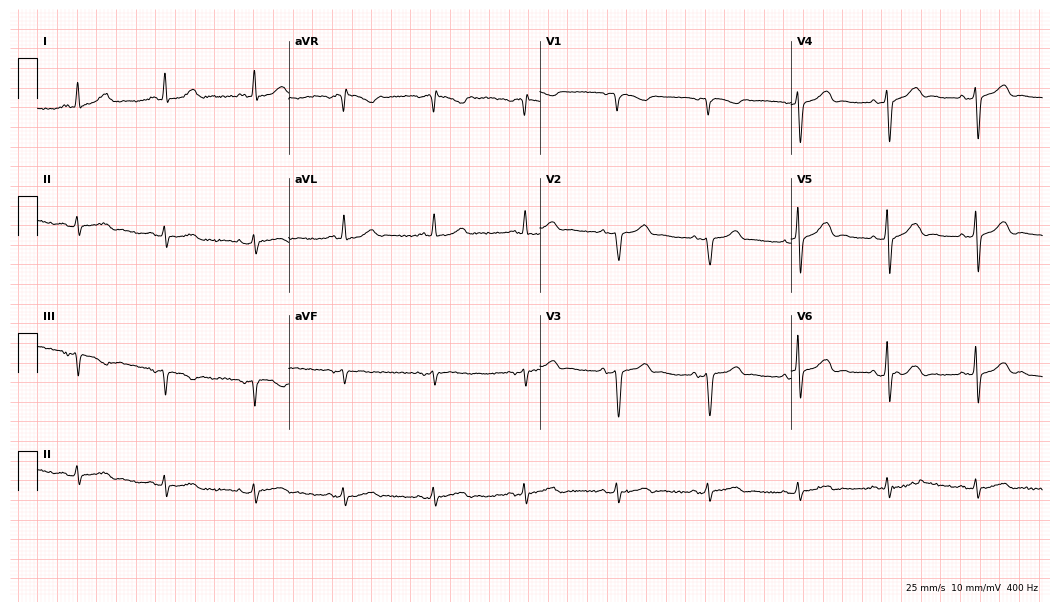
Resting 12-lead electrocardiogram (10.2-second recording at 400 Hz). Patient: a male, 64 years old. None of these six findings is recorded: first-degree AV block, right bundle branch block (RBBB), left bundle branch block (LBBB), sinus bradycardia, atrial fibrillation (AF), sinus tachycardia. Only these six findings were labelled.